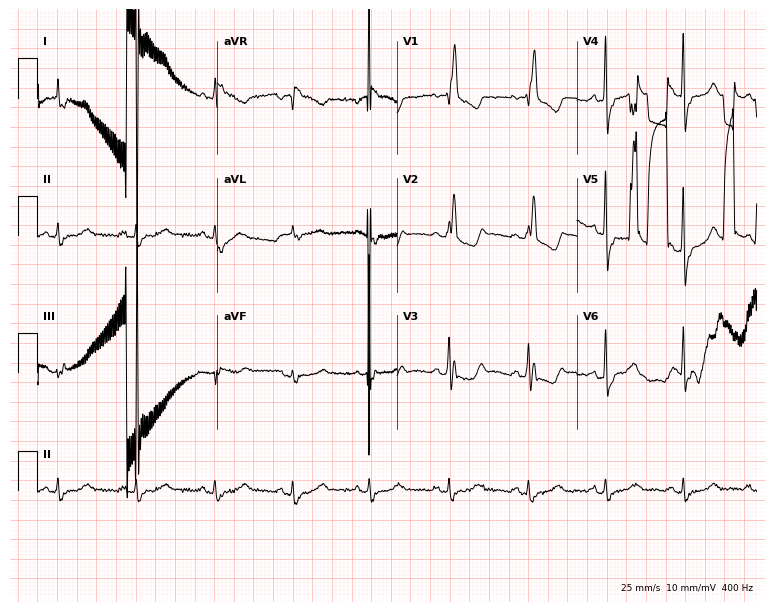
Standard 12-lead ECG recorded from an 84-year-old woman. The tracing shows right bundle branch block (RBBB).